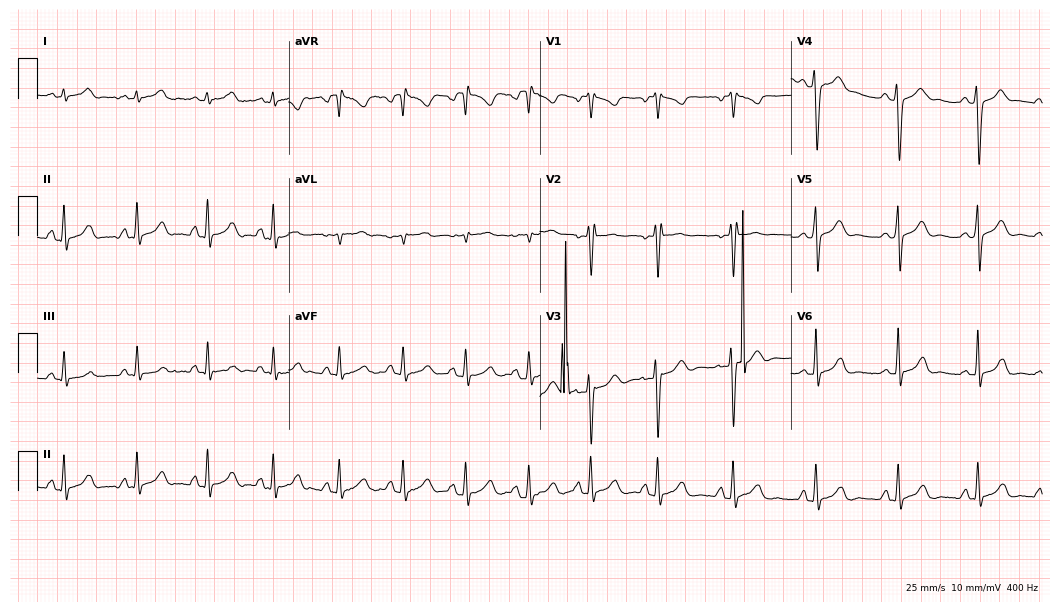
Electrocardiogram, a 60-year-old female. Of the six screened findings (first-degree AV block, right bundle branch block (RBBB), left bundle branch block (LBBB), sinus bradycardia, atrial fibrillation (AF), sinus tachycardia), none is recorded.